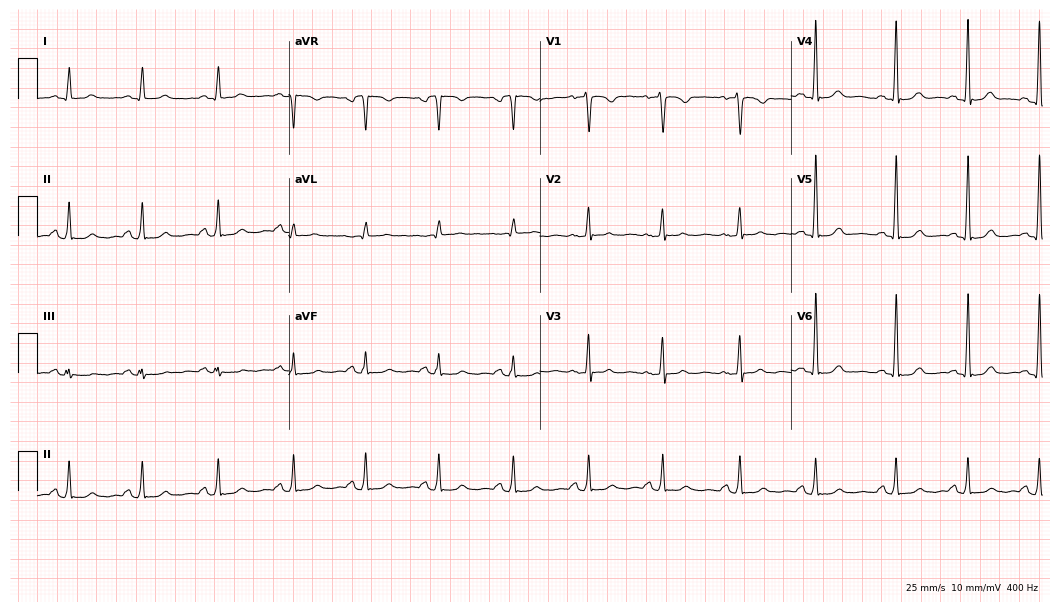
Standard 12-lead ECG recorded from a woman, 33 years old (10.2-second recording at 400 Hz). None of these six findings is recorded: first-degree AV block, right bundle branch block, left bundle branch block, sinus bradycardia, atrial fibrillation, sinus tachycardia. Findings outside these six are not listed.